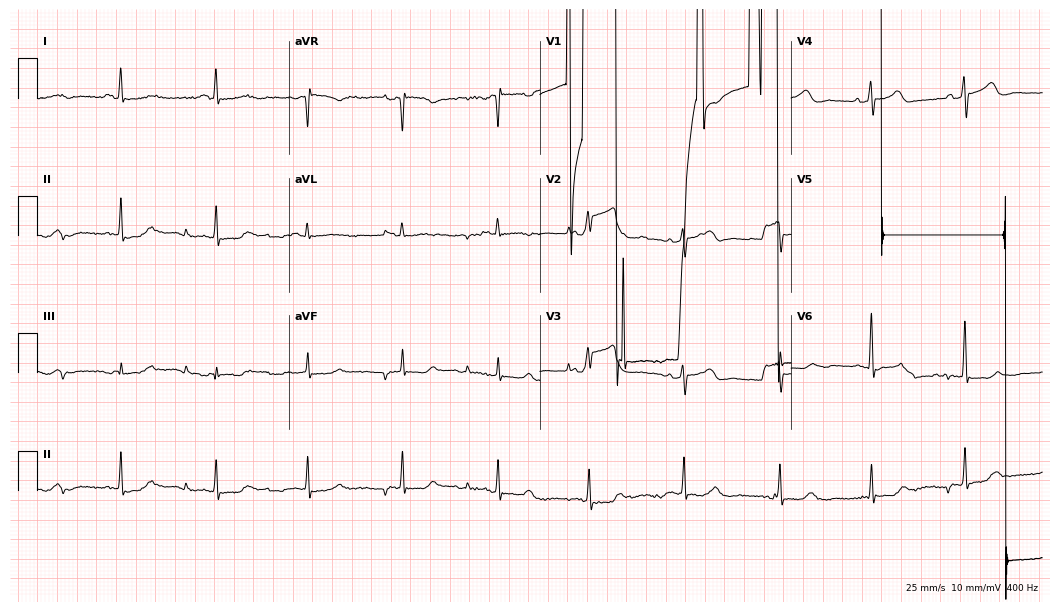
Standard 12-lead ECG recorded from a 66-year-old woman (10.2-second recording at 400 Hz). None of these six findings is recorded: first-degree AV block, right bundle branch block, left bundle branch block, sinus bradycardia, atrial fibrillation, sinus tachycardia. Only these six findings were labelled.